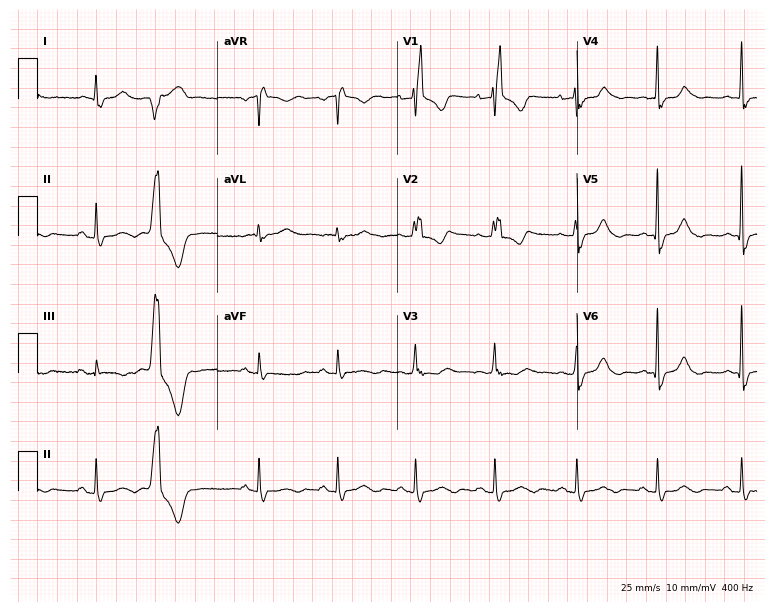
Standard 12-lead ECG recorded from a 63-year-old woman. The tracing shows right bundle branch block.